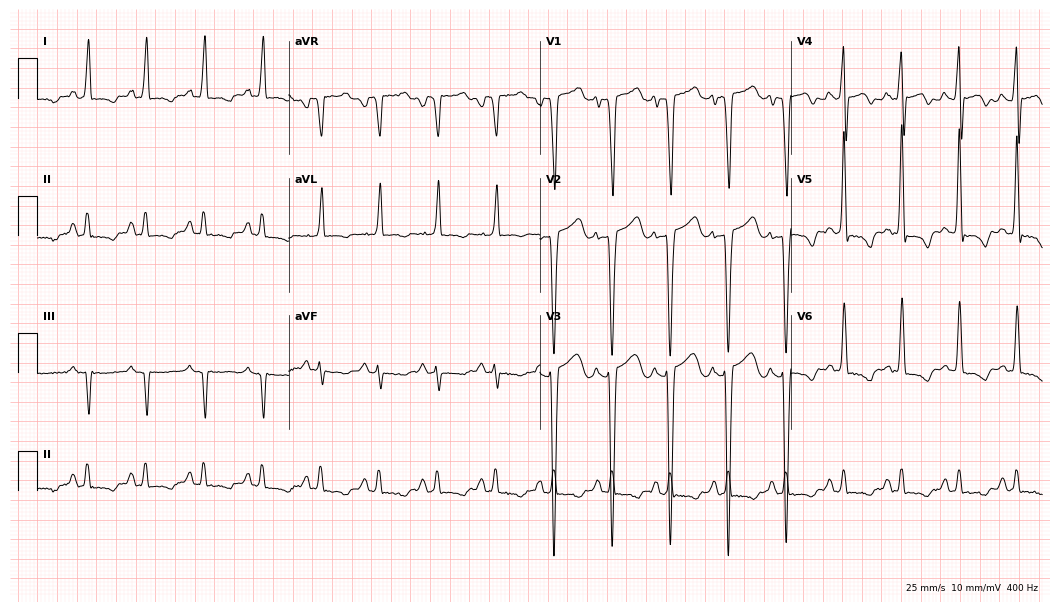
Standard 12-lead ECG recorded from a 43-year-old male (10.2-second recording at 400 Hz). The tracing shows sinus tachycardia (a sinus rate of 100 beats per minute or more).